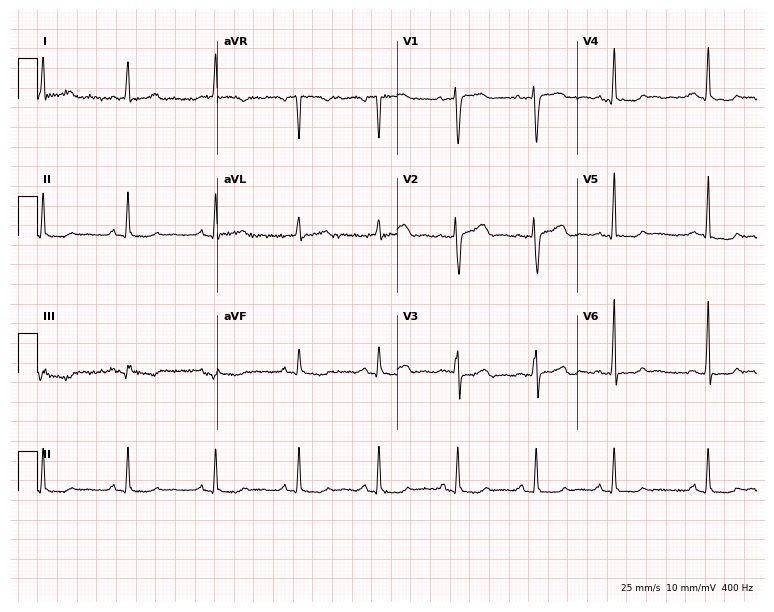
Electrocardiogram, a woman, 67 years old. Of the six screened findings (first-degree AV block, right bundle branch block (RBBB), left bundle branch block (LBBB), sinus bradycardia, atrial fibrillation (AF), sinus tachycardia), none is recorded. Only these six findings were labelled.